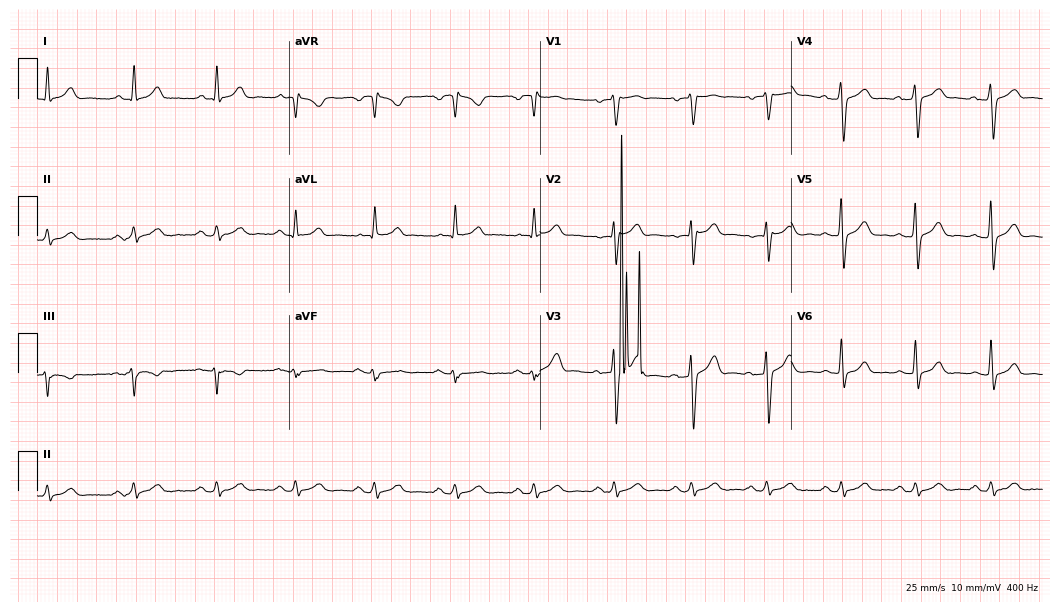
ECG — a male patient, 49 years old. Labelled as a normal ECG.